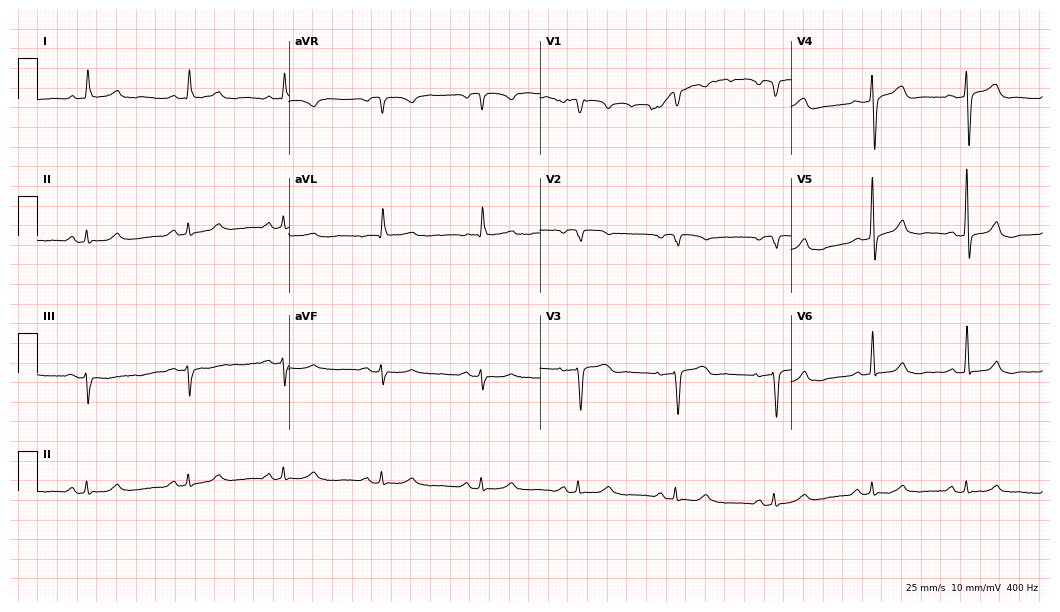
Resting 12-lead electrocardiogram. Patient: an 85-year-old male. Read as a normal ECG.